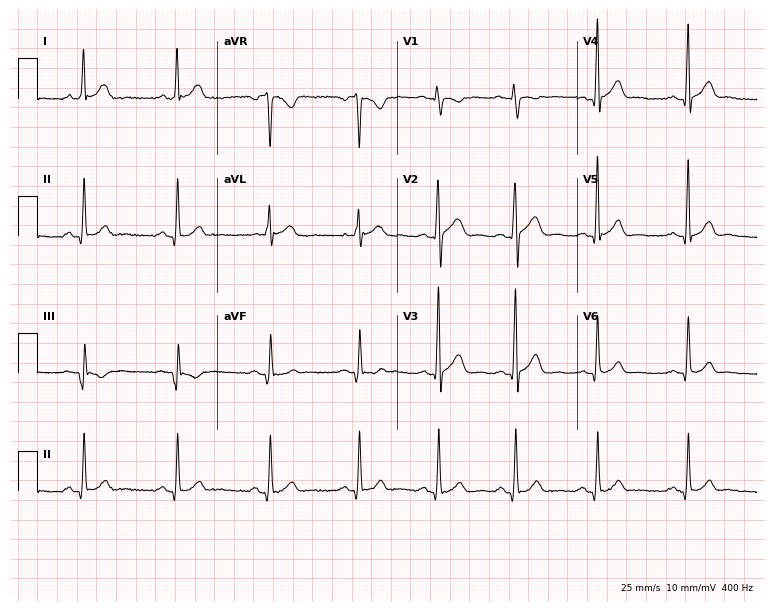
Standard 12-lead ECG recorded from a 26-year-old male patient. Read as a normal ECG.